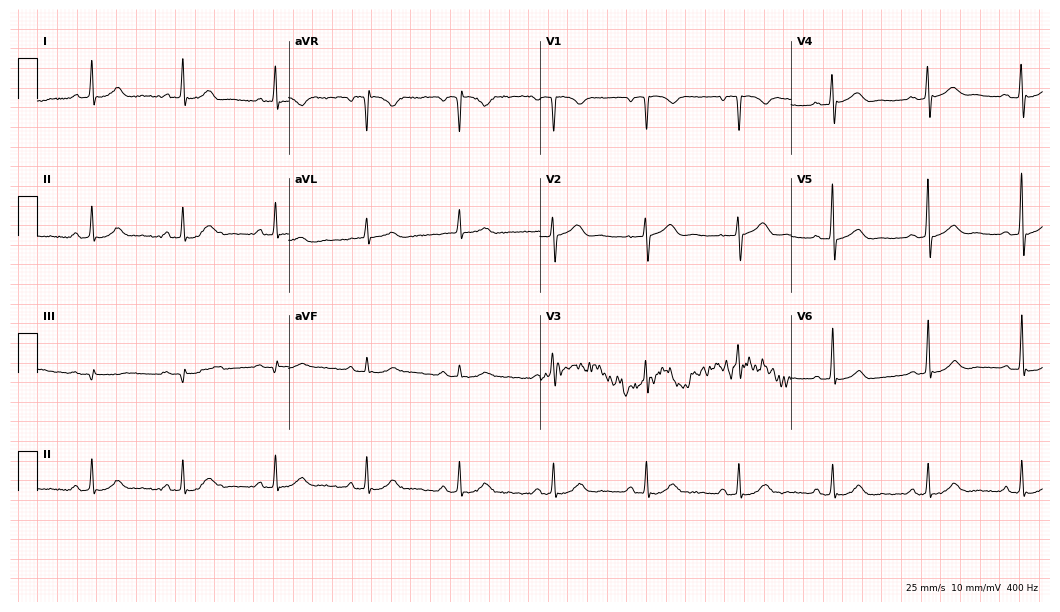
Standard 12-lead ECG recorded from a 62-year-old man (10.2-second recording at 400 Hz). None of these six findings is recorded: first-degree AV block, right bundle branch block (RBBB), left bundle branch block (LBBB), sinus bradycardia, atrial fibrillation (AF), sinus tachycardia.